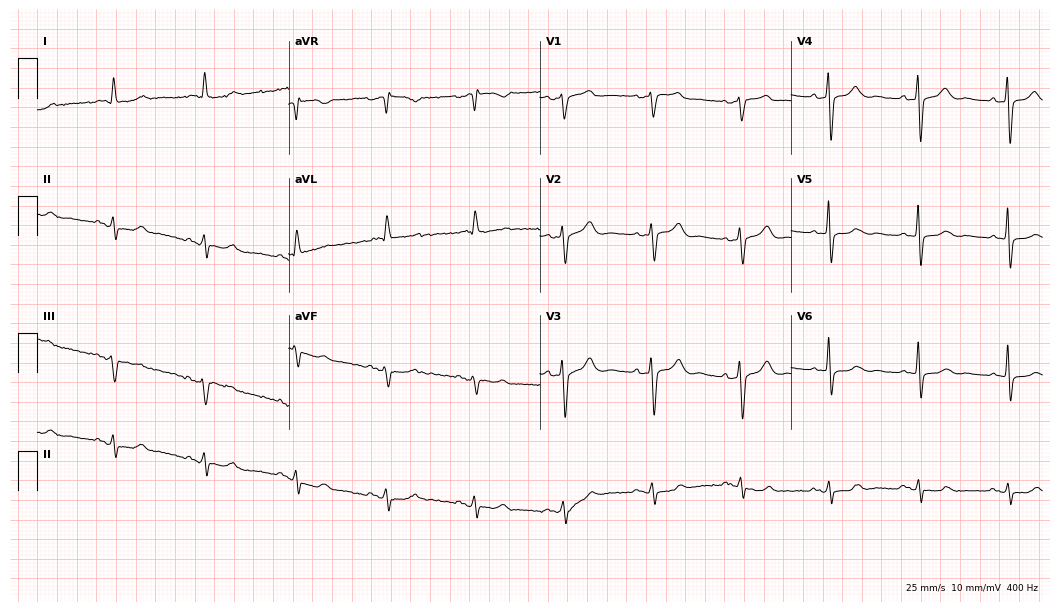
Electrocardiogram (10.2-second recording at 400 Hz), a female, 83 years old. Of the six screened findings (first-degree AV block, right bundle branch block, left bundle branch block, sinus bradycardia, atrial fibrillation, sinus tachycardia), none is recorded.